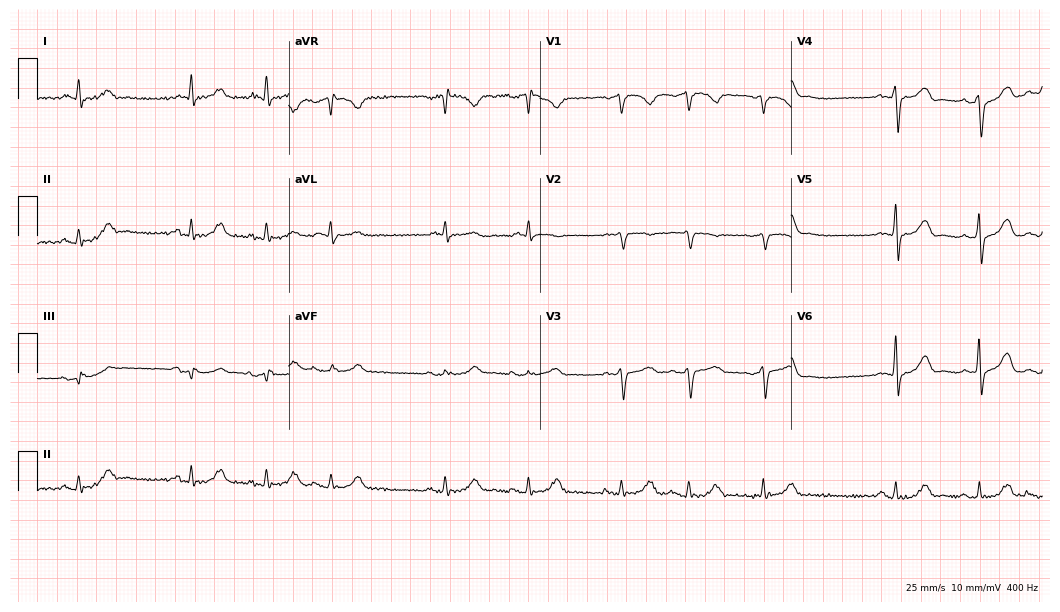
Standard 12-lead ECG recorded from a 64-year-old man (10.2-second recording at 400 Hz). None of these six findings is recorded: first-degree AV block, right bundle branch block (RBBB), left bundle branch block (LBBB), sinus bradycardia, atrial fibrillation (AF), sinus tachycardia.